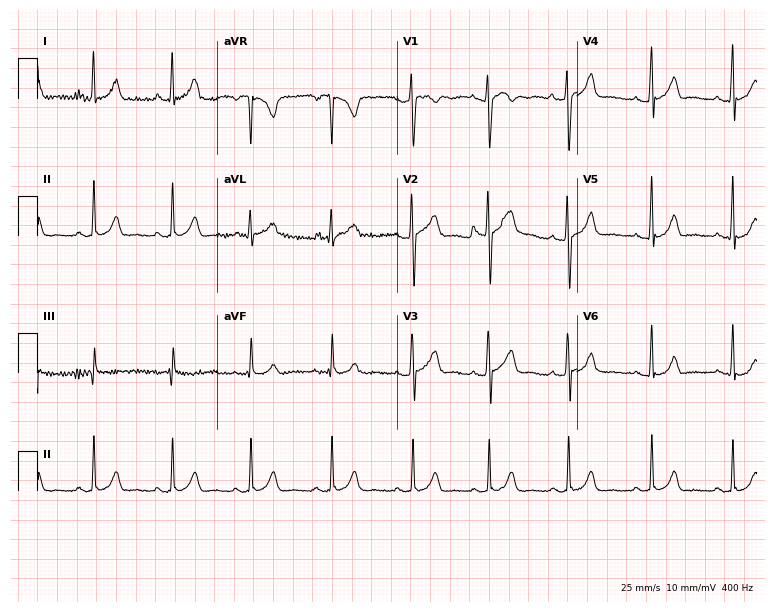
Electrocardiogram, a woman, 23 years old. Overall reading on record: normal ECG.